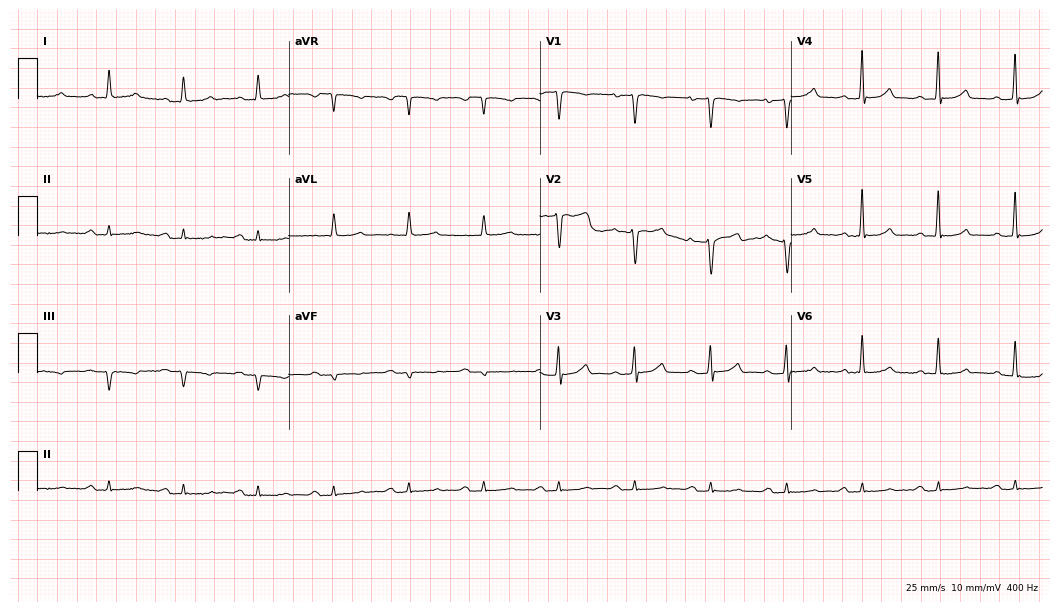
Electrocardiogram, a 68-year-old man. Overall reading on record: normal ECG.